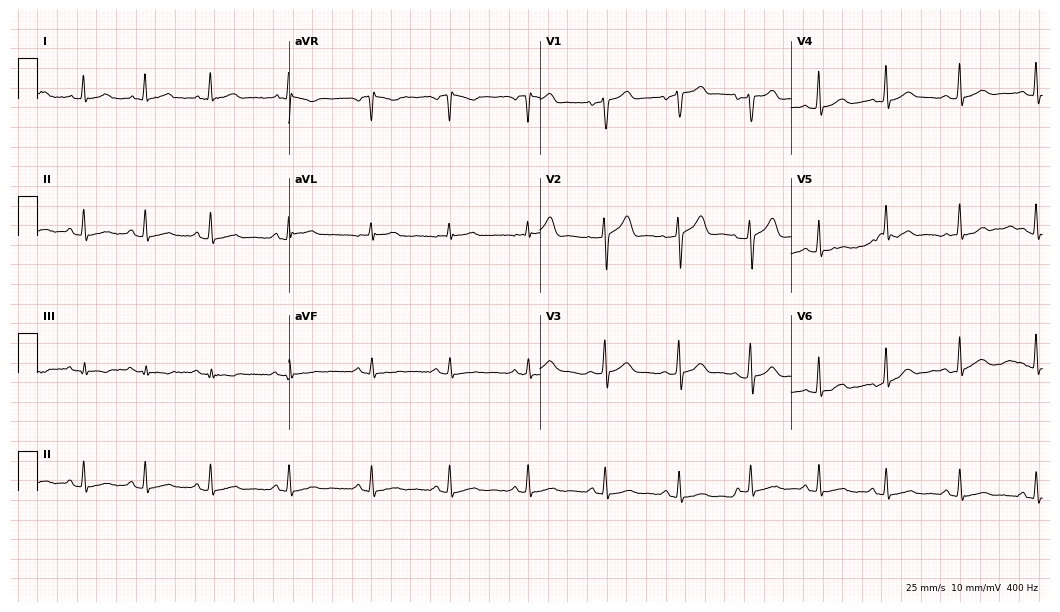
Electrocardiogram, a man, 52 years old. Of the six screened findings (first-degree AV block, right bundle branch block (RBBB), left bundle branch block (LBBB), sinus bradycardia, atrial fibrillation (AF), sinus tachycardia), none is recorded. Other findings, if any, are not listed.